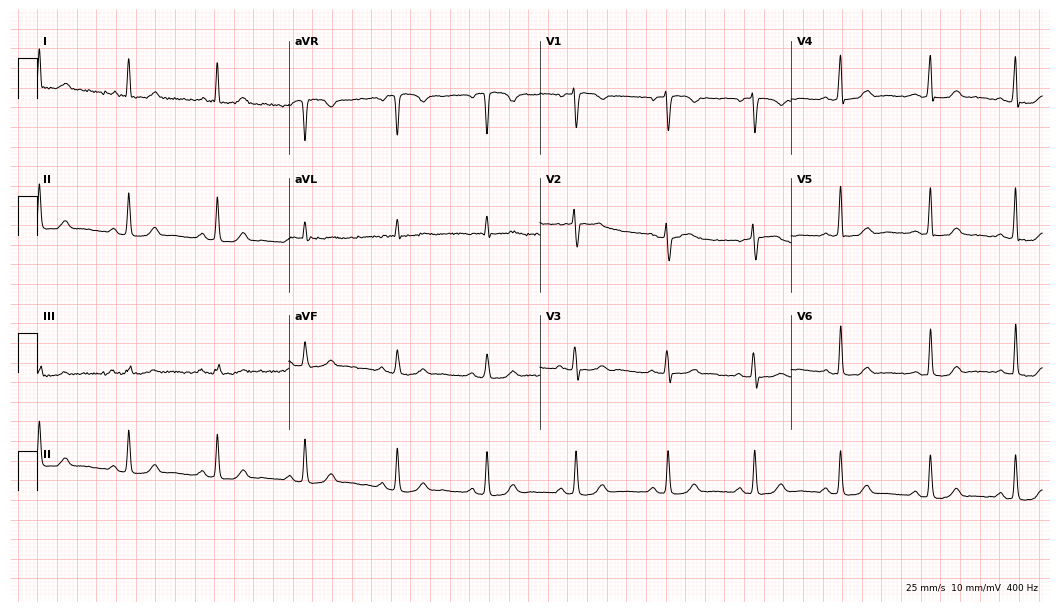
12-lead ECG from a woman, 56 years old (10.2-second recording at 400 Hz). Recorded interpretation: within normal limits.